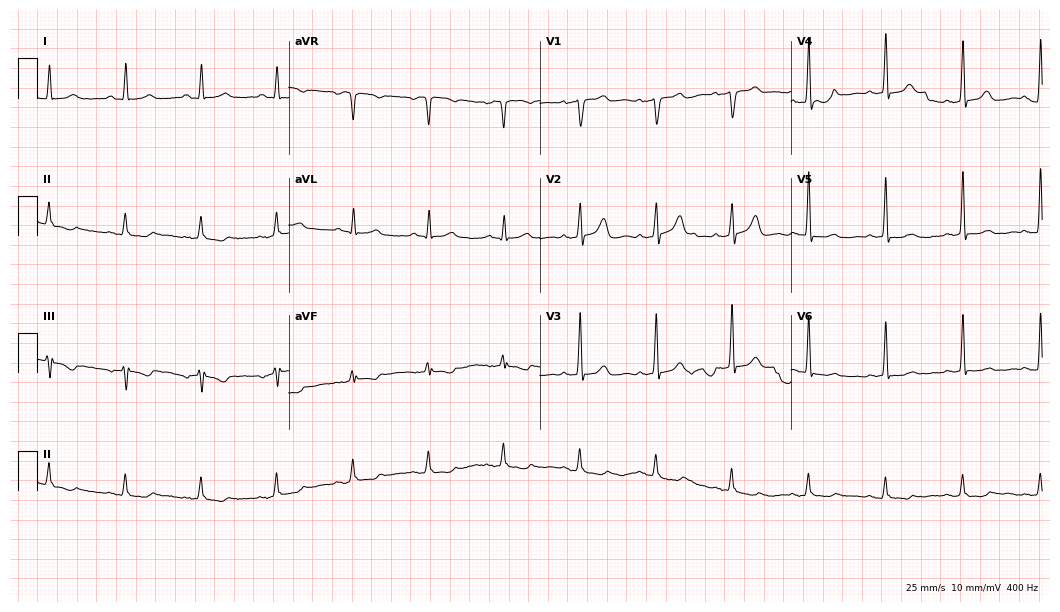
12-lead ECG from a 71-year-old male (10.2-second recording at 400 Hz). Recorded interpretation: within normal limits.